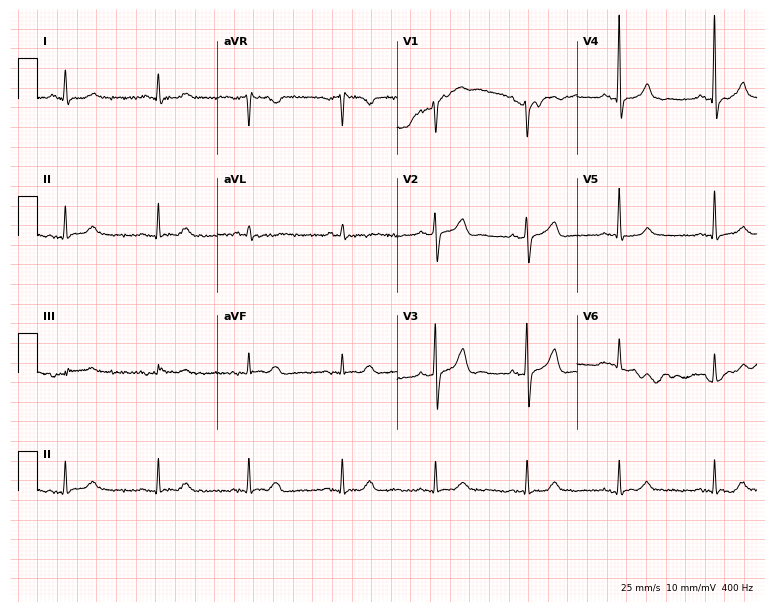
ECG (7.3-second recording at 400 Hz) — a man, 77 years old. Screened for six findings — first-degree AV block, right bundle branch block, left bundle branch block, sinus bradycardia, atrial fibrillation, sinus tachycardia — none is recorded.